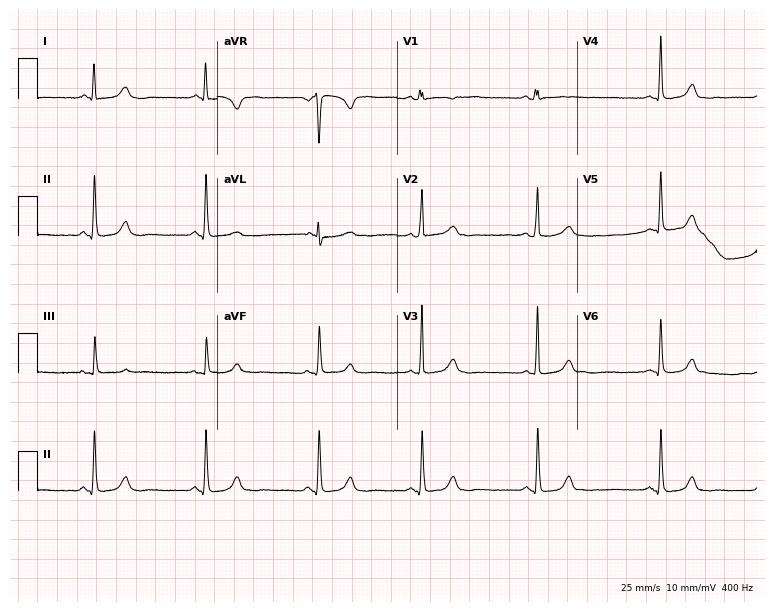
ECG (7.3-second recording at 400 Hz) — a female patient, 25 years old. Screened for six findings — first-degree AV block, right bundle branch block, left bundle branch block, sinus bradycardia, atrial fibrillation, sinus tachycardia — none is recorded. Findings outside these six are not listed.